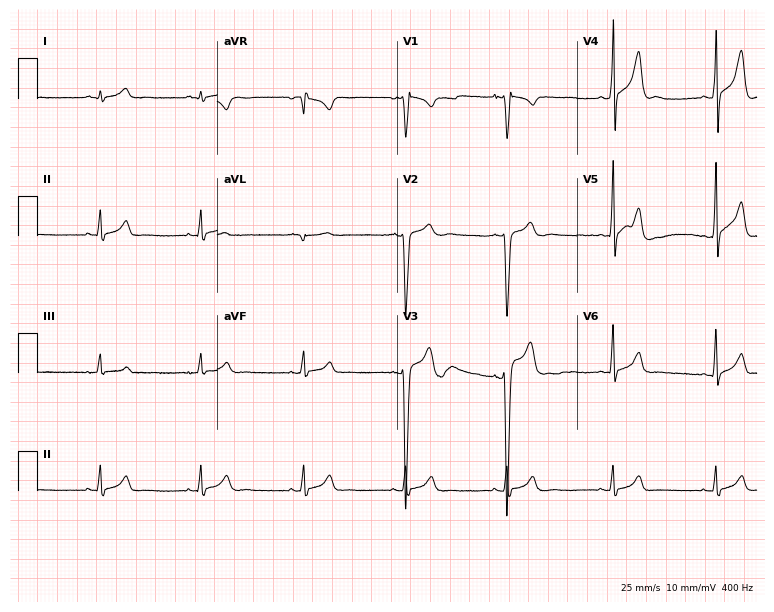
Electrocardiogram (7.3-second recording at 400 Hz), a 21-year-old male. Of the six screened findings (first-degree AV block, right bundle branch block (RBBB), left bundle branch block (LBBB), sinus bradycardia, atrial fibrillation (AF), sinus tachycardia), none is recorded.